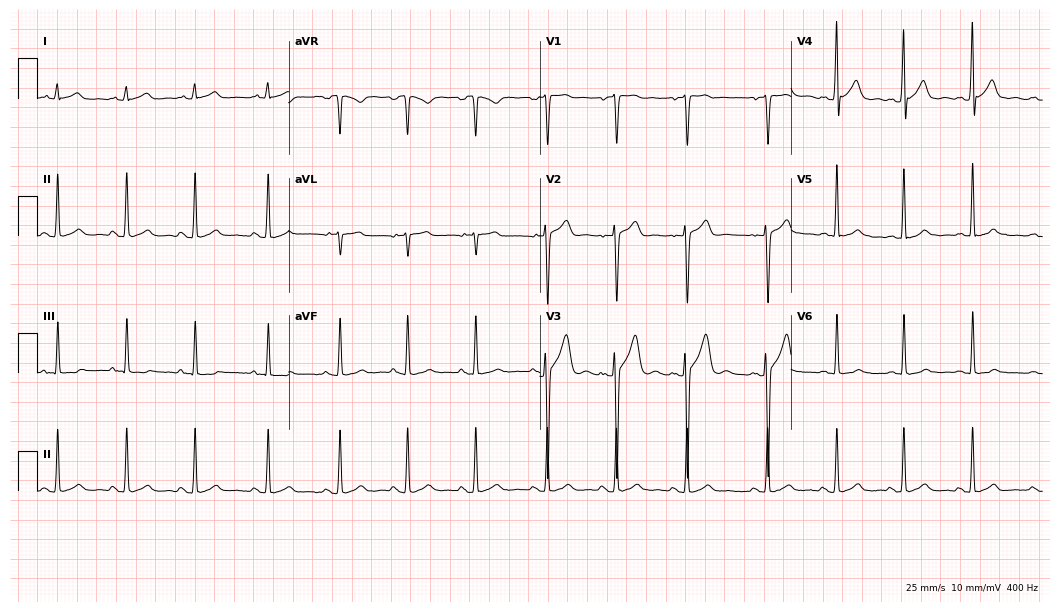
12-lead ECG from a man, 19 years old. Labelled as a normal ECG.